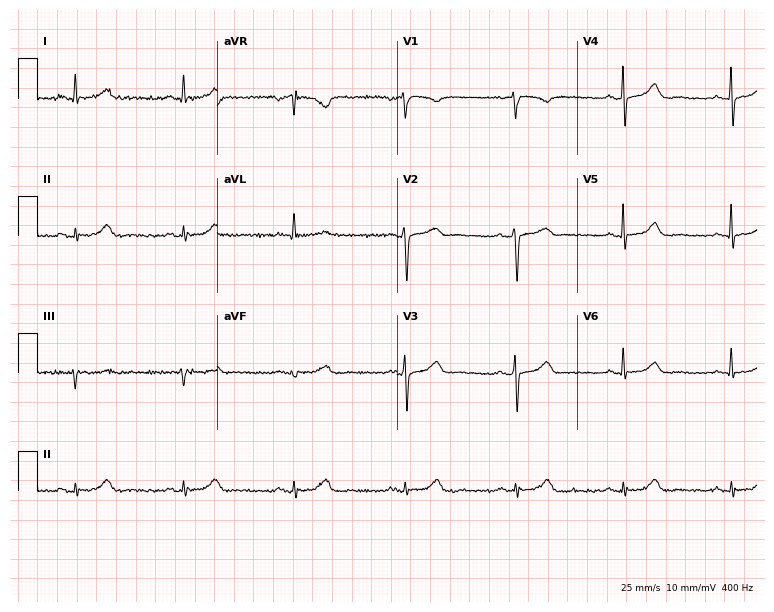
Standard 12-lead ECG recorded from a 67-year-old woman. None of these six findings is recorded: first-degree AV block, right bundle branch block, left bundle branch block, sinus bradycardia, atrial fibrillation, sinus tachycardia. Other findings, if any, are not listed.